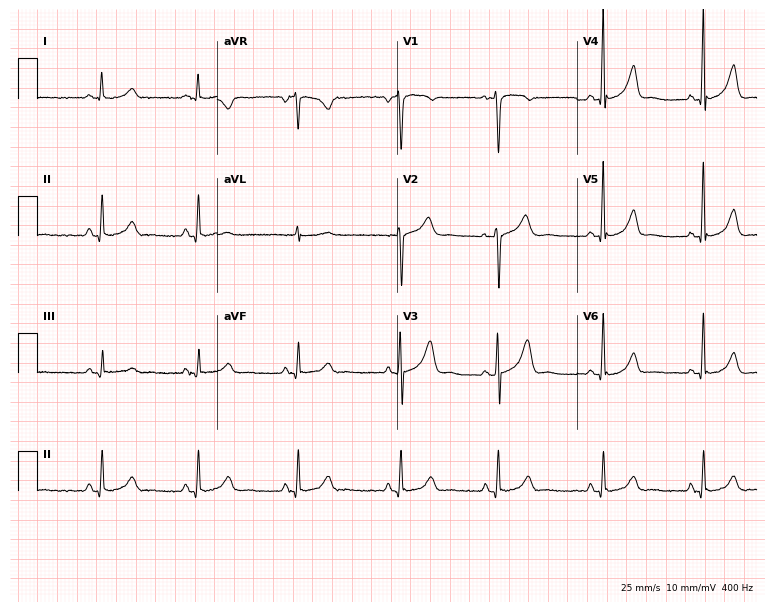
ECG — a female patient, 44 years old. Labelled as a normal ECG.